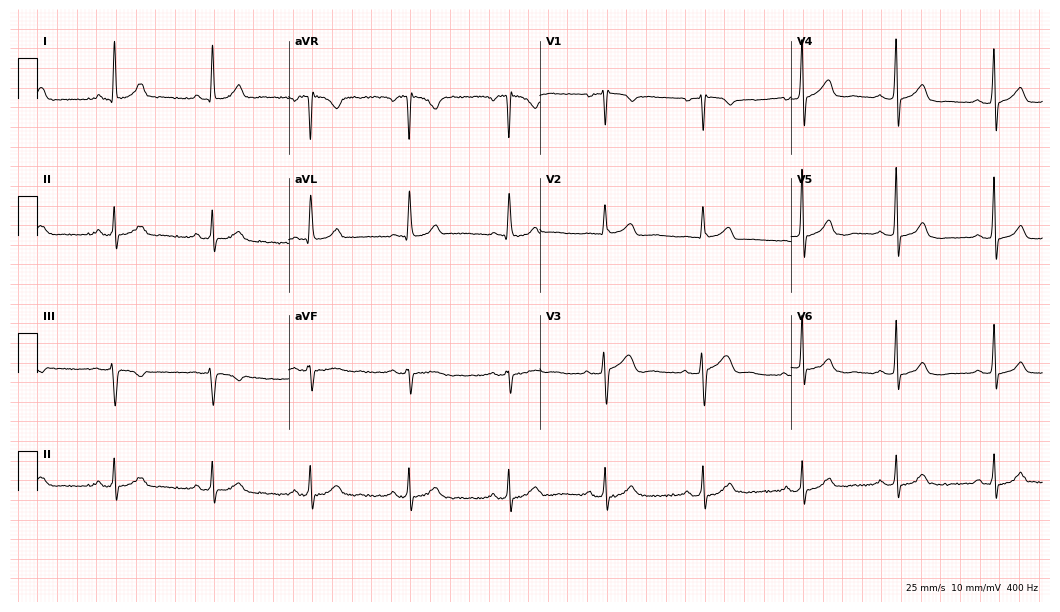
12-lead ECG from a 62-year-old woman. Recorded interpretation: within normal limits.